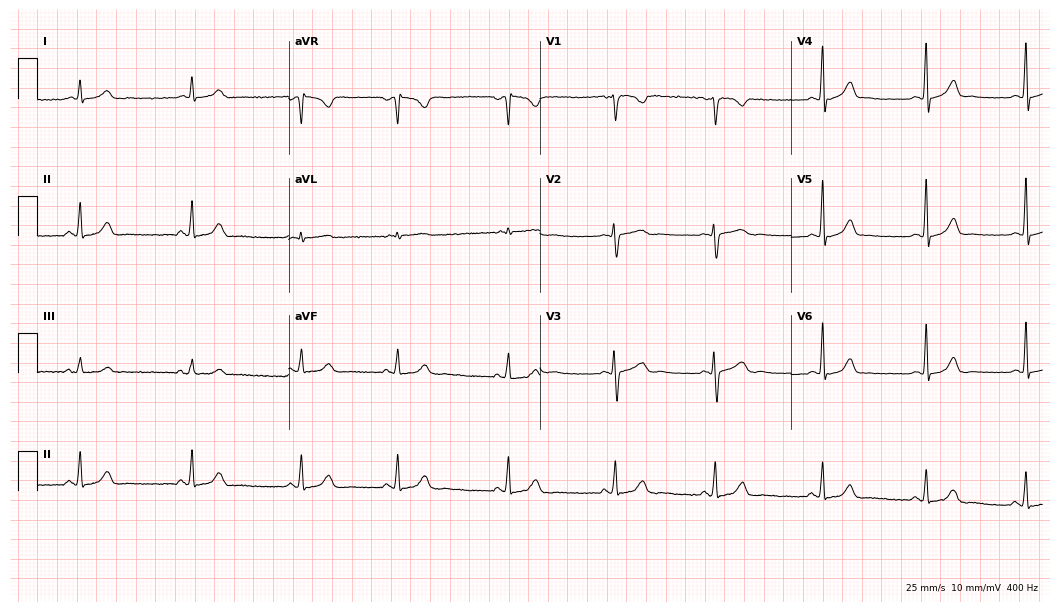
Resting 12-lead electrocardiogram. Patient: a 33-year-old female. None of these six findings is recorded: first-degree AV block, right bundle branch block (RBBB), left bundle branch block (LBBB), sinus bradycardia, atrial fibrillation (AF), sinus tachycardia. Only these six findings were labelled.